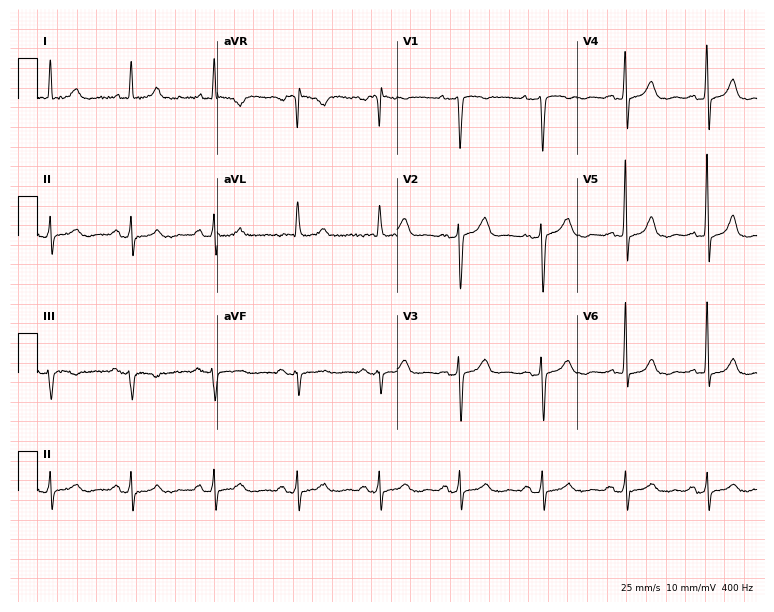
12-lead ECG from a 64-year-old female patient. Labelled as a normal ECG.